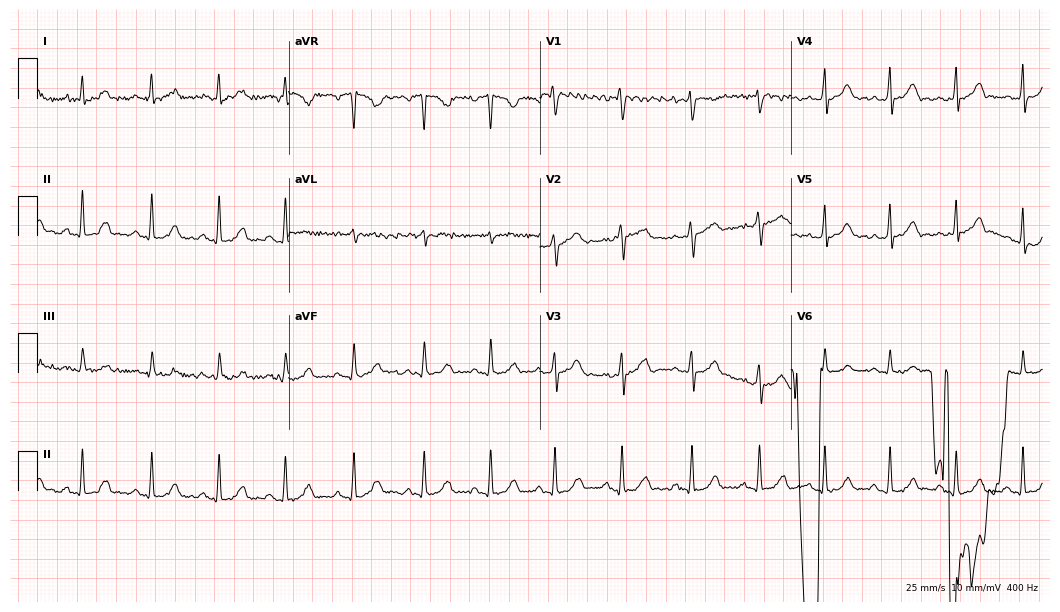
12-lead ECG from a female patient, 31 years old. Recorded interpretation: within normal limits.